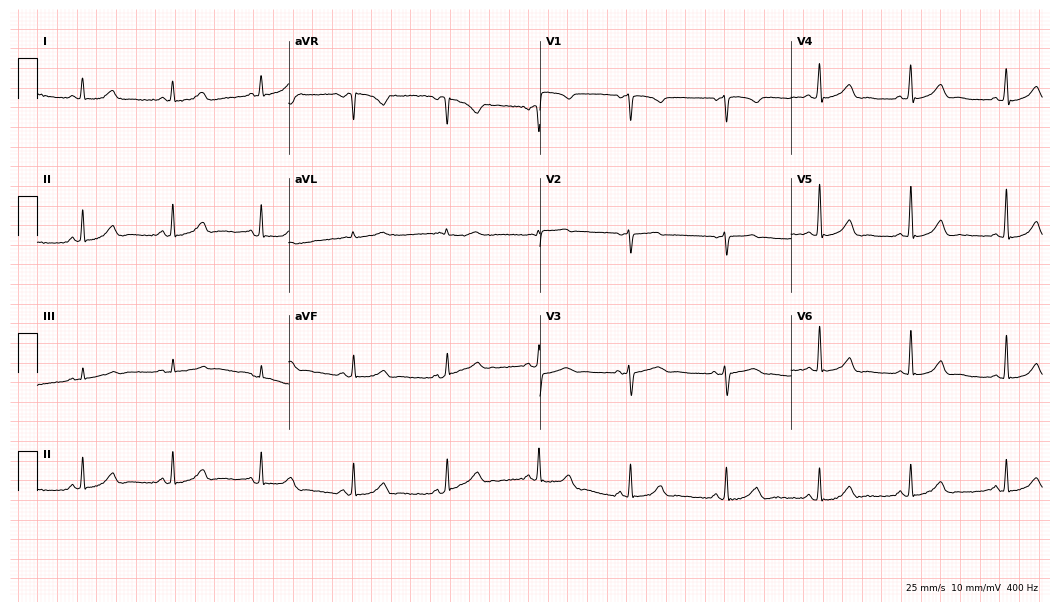
12-lead ECG from a 54-year-old woman (10.2-second recording at 400 Hz). Recorded interpretation: within normal limits.